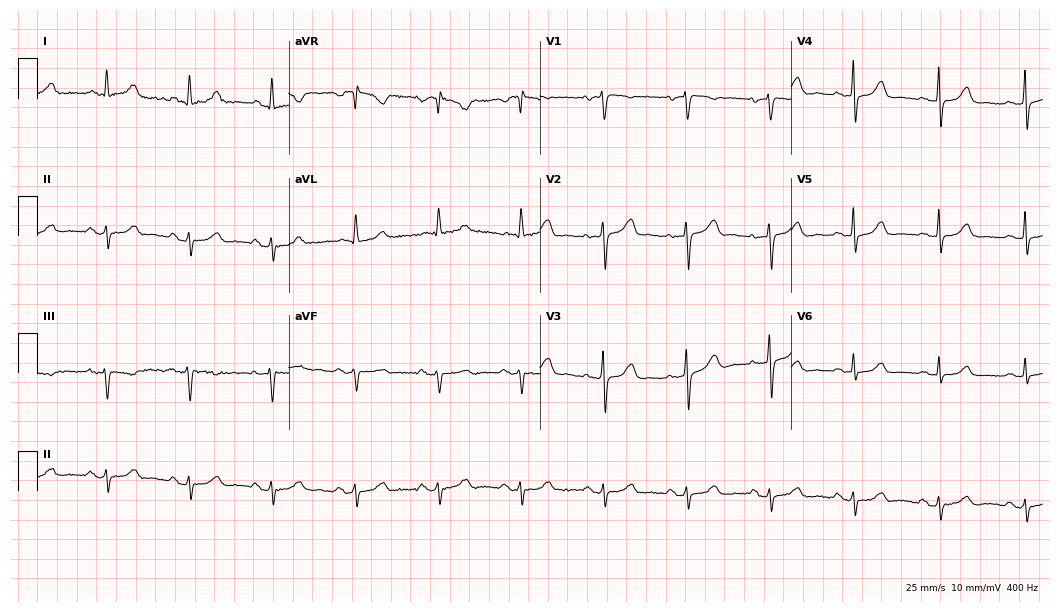
ECG (10.2-second recording at 400 Hz) — a woman, 76 years old. Screened for six findings — first-degree AV block, right bundle branch block (RBBB), left bundle branch block (LBBB), sinus bradycardia, atrial fibrillation (AF), sinus tachycardia — none is recorded.